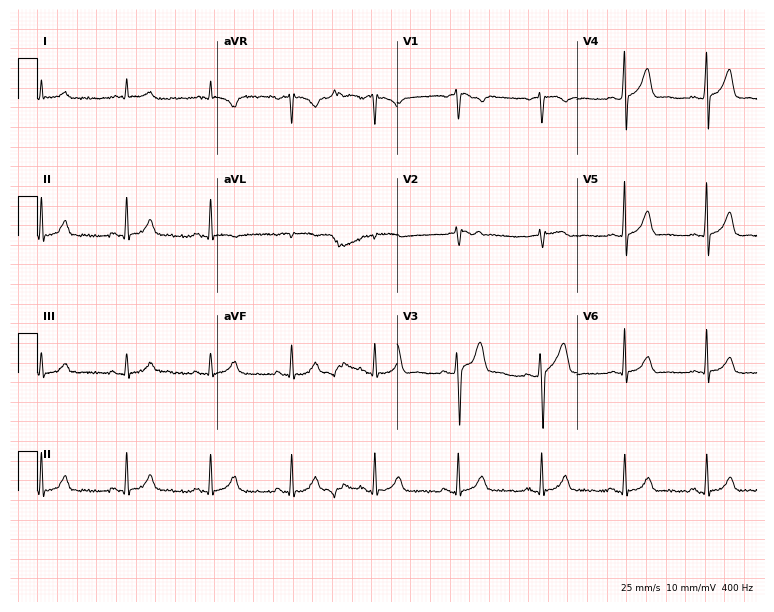
Standard 12-lead ECG recorded from a 58-year-old male patient (7.3-second recording at 400 Hz). Read as a normal ECG.